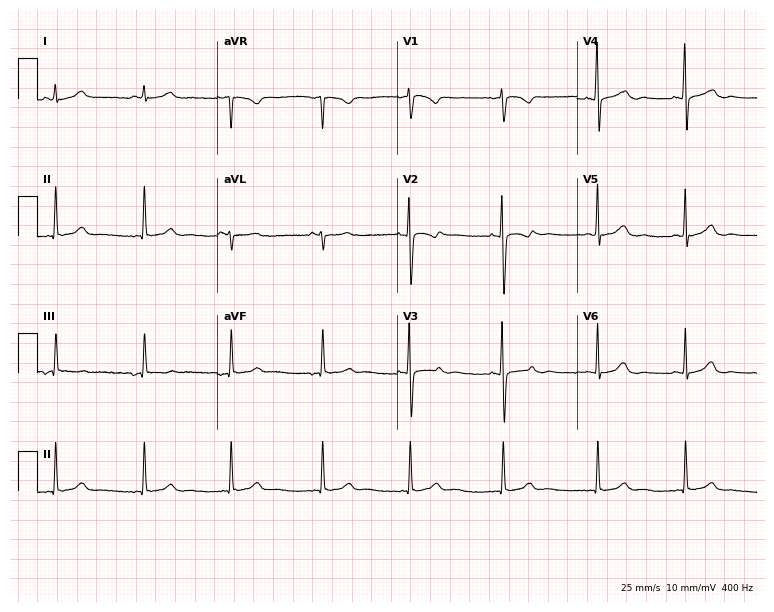
ECG — a female, 32 years old. Screened for six findings — first-degree AV block, right bundle branch block, left bundle branch block, sinus bradycardia, atrial fibrillation, sinus tachycardia — none is recorded. Other findings, if any, are not listed.